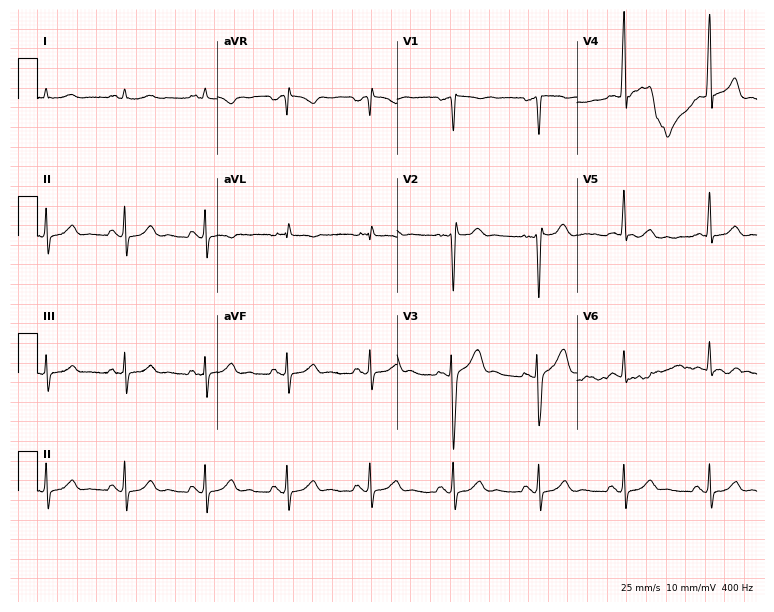
Resting 12-lead electrocardiogram. Patient: a 48-year-old man. None of these six findings is recorded: first-degree AV block, right bundle branch block (RBBB), left bundle branch block (LBBB), sinus bradycardia, atrial fibrillation (AF), sinus tachycardia. Findings outside these six are not listed.